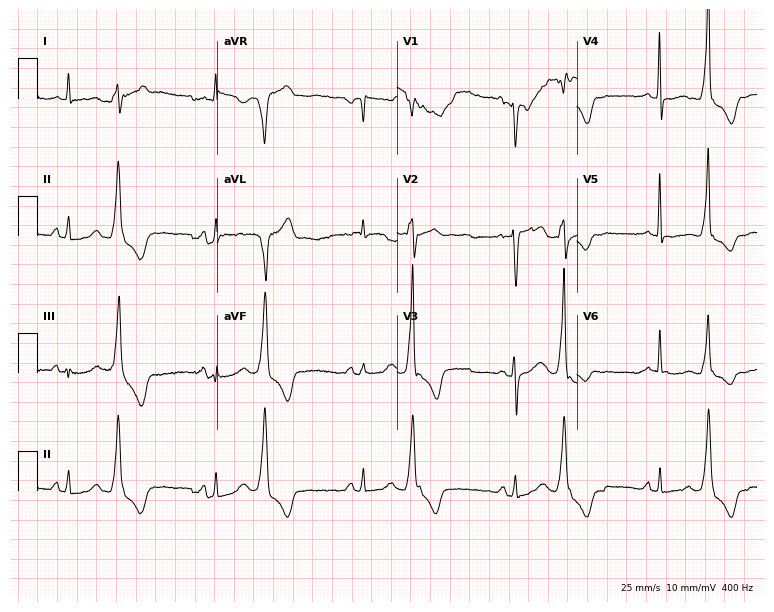
12-lead ECG from a 51-year-old female patient. Screened for six findings — first-degree AV block, right bundle branch block (RBBB), left bundle branch block (LBBB), sinus bradycardia, atrial fibrillation (AF), sinus tachycardia — none is recorded.